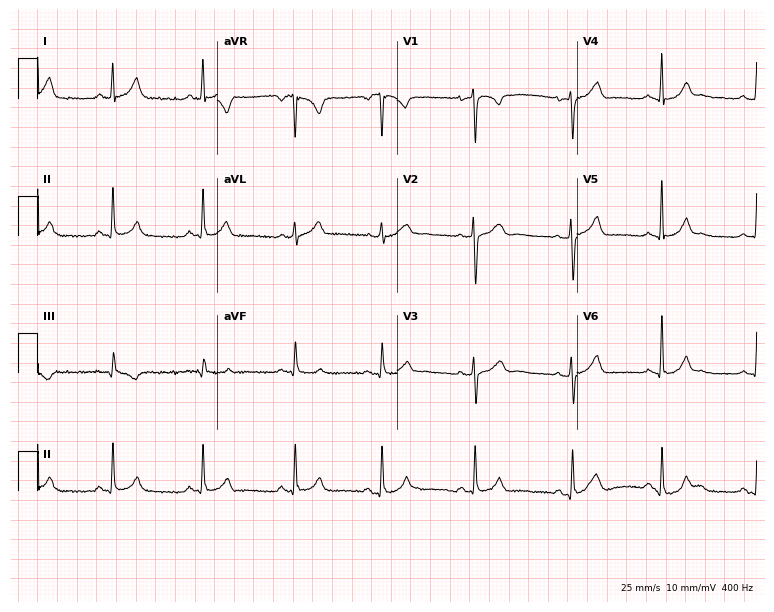
12-lead ECG (7.3-second recording at 400 Hz) from a female, 46 years old. Labelled as a normal ECG.